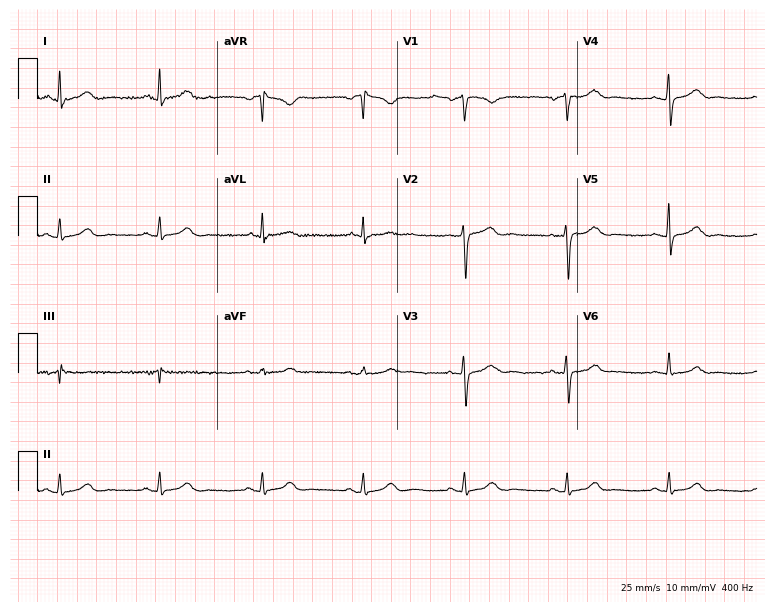
Electrocardiogram (7.3-second recording at 400 Hz), a woman, 57 years old. Of the six screened findings (first-degree AV block, right bundle branch block (RBBB), left bundle branch block (LBBB), sinus bradycardia, atrial fibrillation (AF), sinus tachycardia), none is recorded.